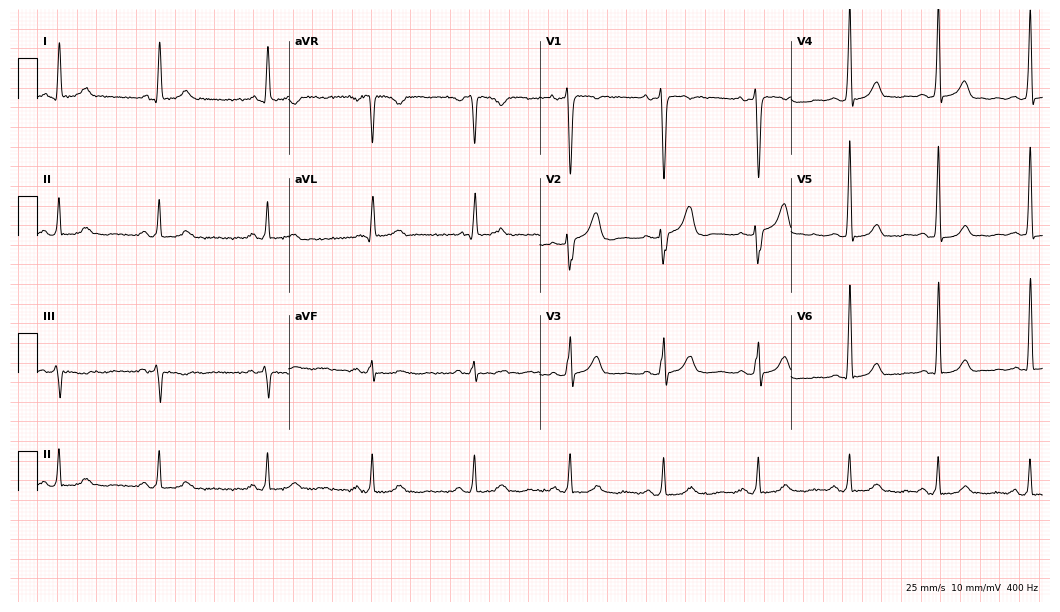
12-lead ECG from a 60-year-old female patient. Labelled as a normal ECG.